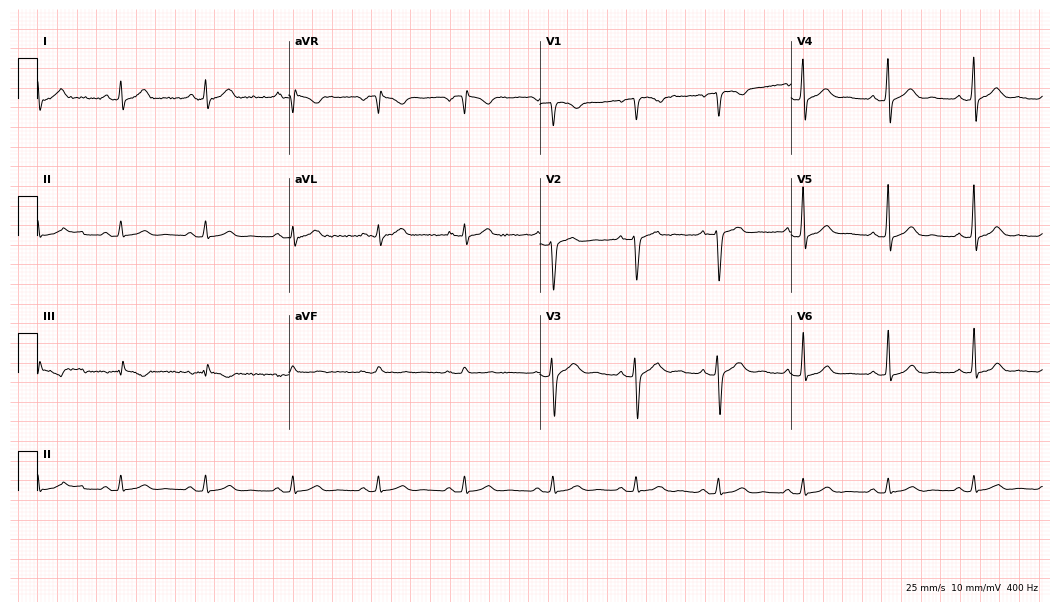
12-lead ECG from a male patient, 40 years old (10.2-second recording at 400 Hz). Recorded interpretation: within normal limits.